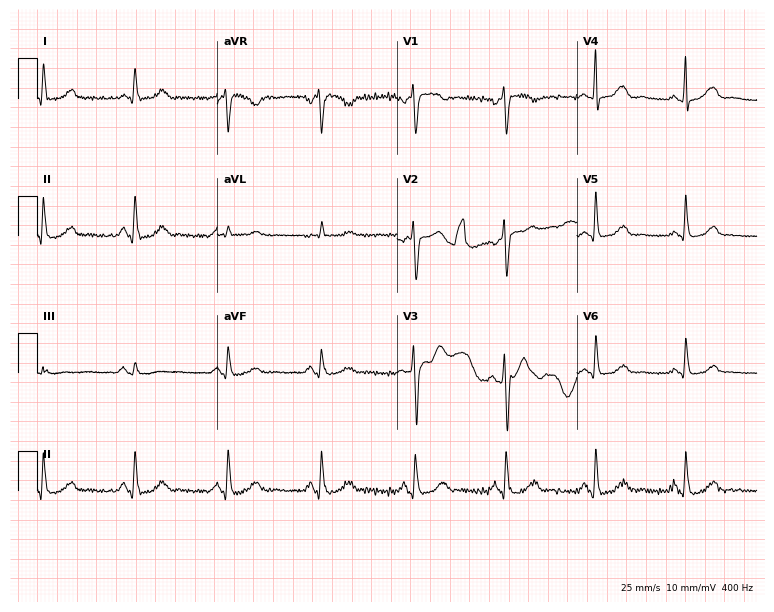
Electrocardiogram, a 58-year-old female. Of the six screened findings (first-degree AV block, right bundle branch block, left bundle branch block, sinus bradycardia, atrial fibrillation, sinus tachycardia), none is recorded.